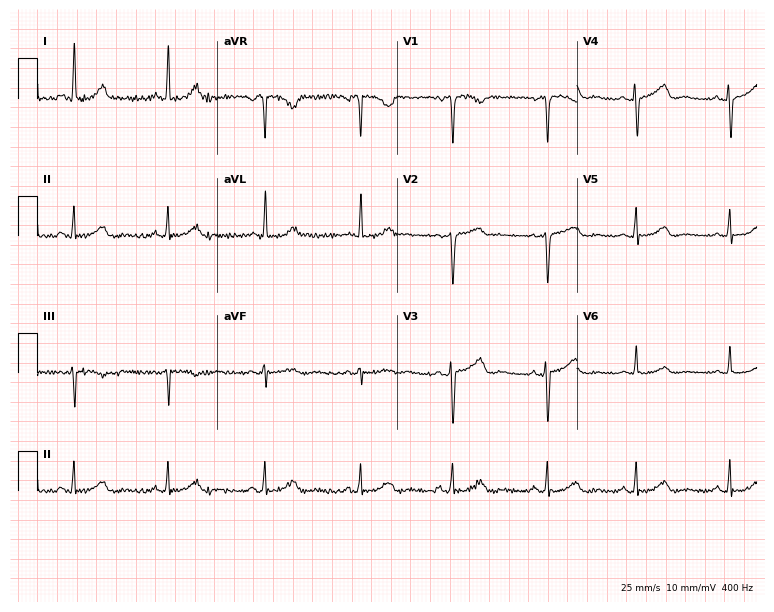
ECG (7.3-second recording at 400 Hz) — a 38-year-old woman. Screened for six findings — first-degree AV block, right bundle branch block (RBBB), left bundle branch block (LBBB), sinus bradycardia, atrial fibrillation (AF), sinus tachycardia — none is recorded. Only these six findings were labelled.